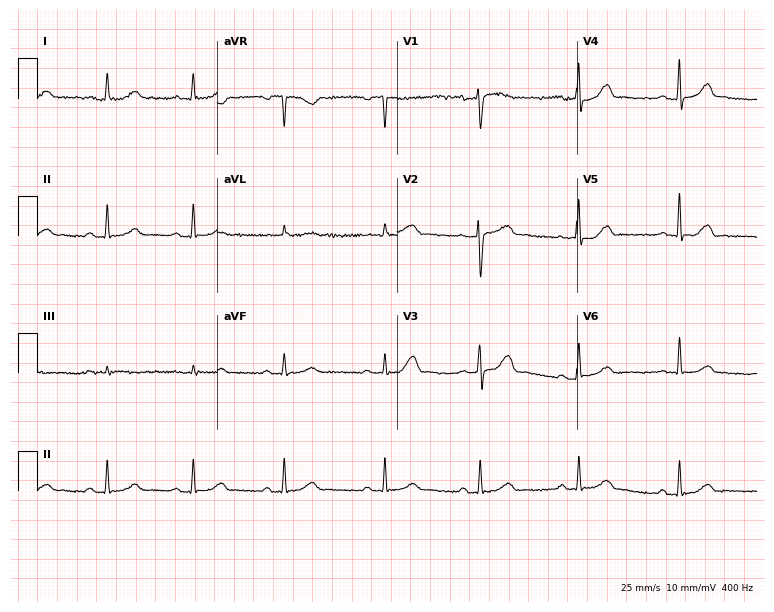
12-lead ECG from a woman, 40 years old. Labelled as a normal ECG.